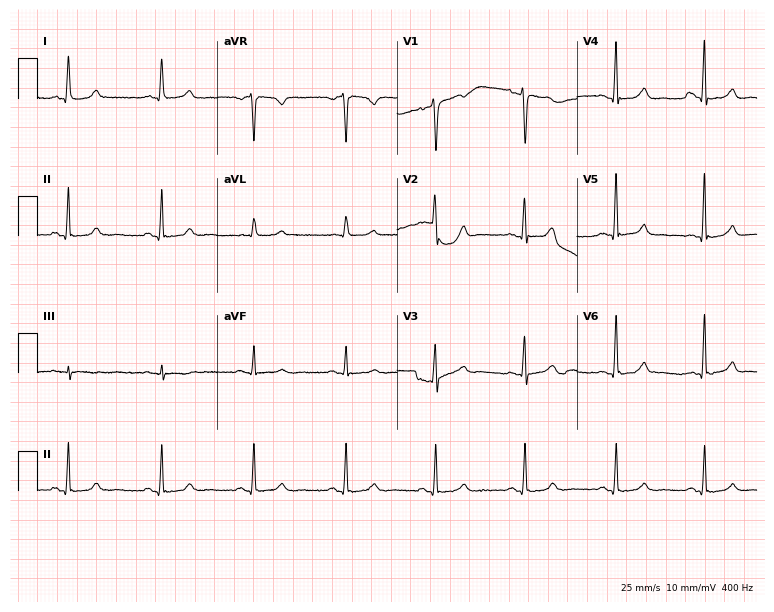
Standard 12-lead ECG recorded from a 48-year-old female patient. Read as a normal ECG.